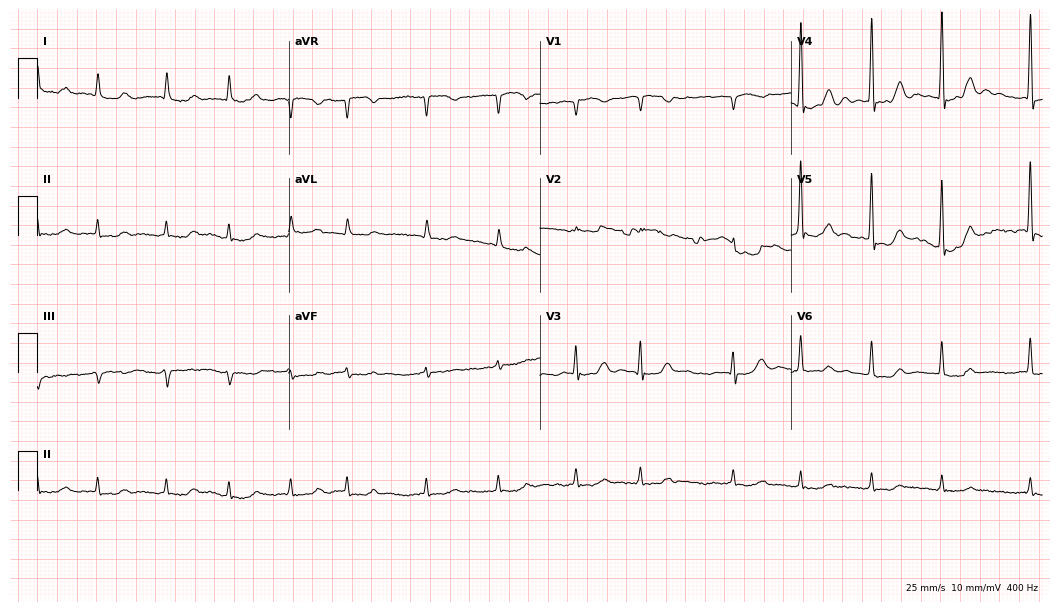
ECG — an 84-year-old male. Labelled as a normal ECG.